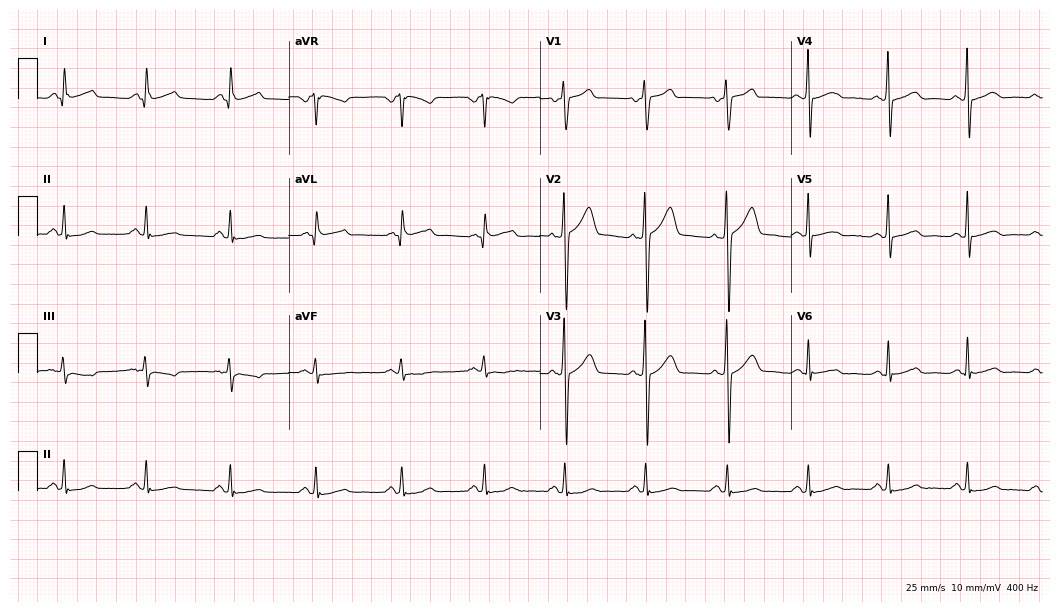
Resting 12-lead electrocardiogram (10.2-second recording at 400 Hz). Patient: a 64-year-old male. Read as a normal ECG.